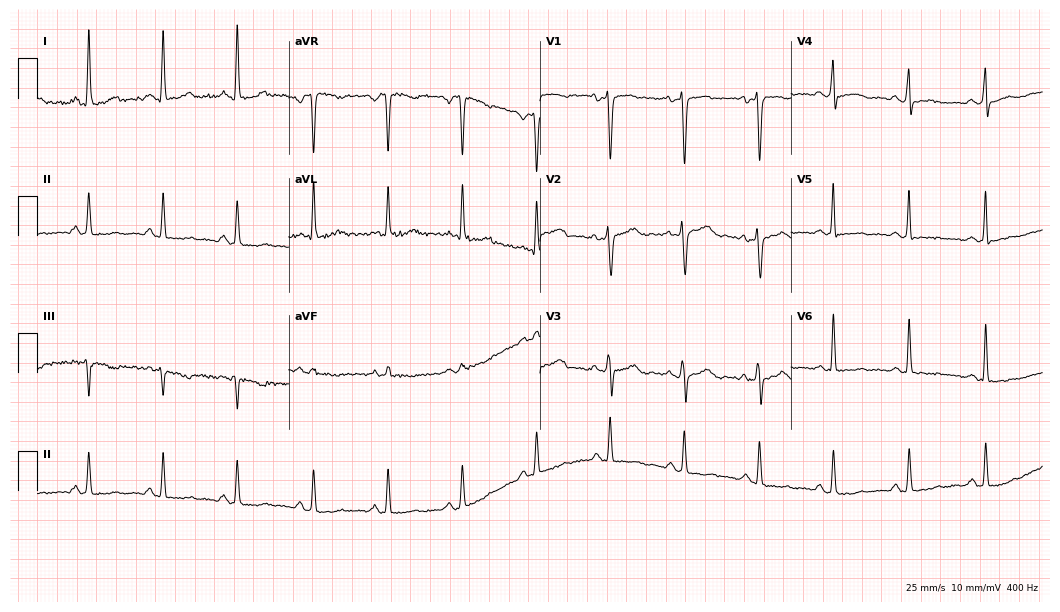
Resting 12-lead electrocardiogram. Patient: a female, 40 years old. None of these six findings is recorded: first-degree AV block, right bundle branch block, left bundle branch block, sinus bradycardia, atrial fibrillation, sinus tachycardia.